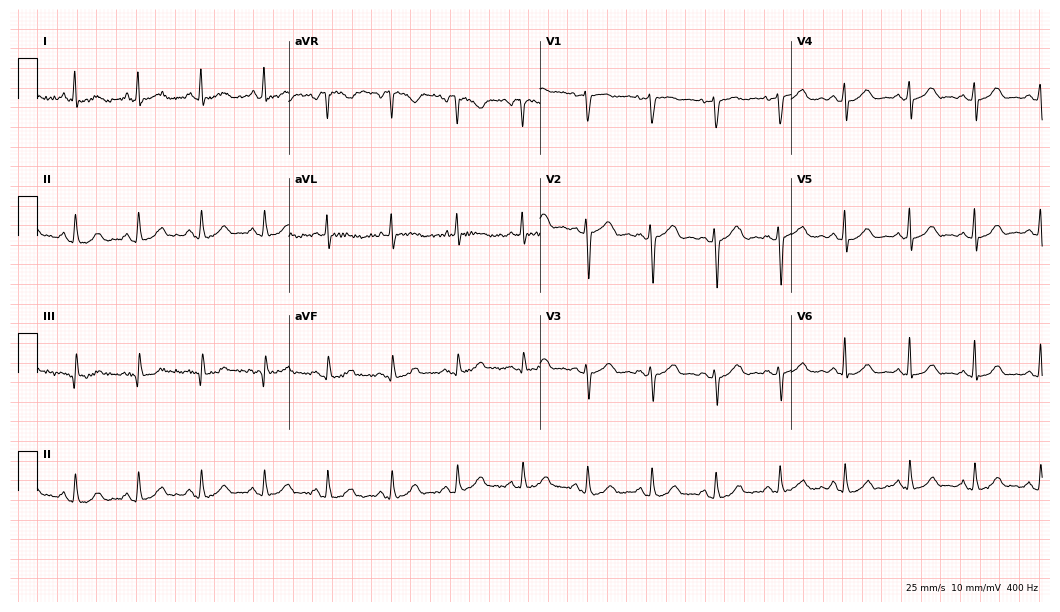
Standard 12-lead ECG recorded from a 70-year-old female patient. Read as a normal ECG.